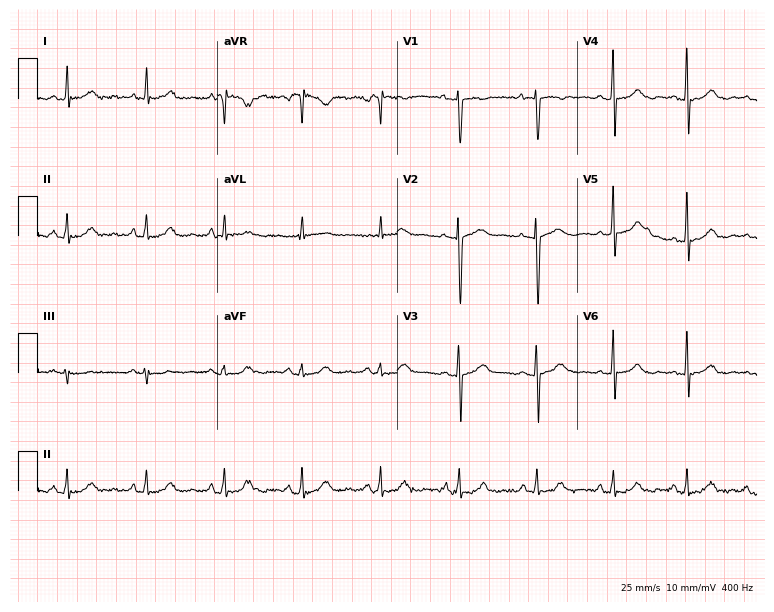
12-lead ECG from a female, 55 years old. Screened for six findings — first-degree AV block, right bundle branch block, left bundle branch block, sinus bradycardia, atrial fibrillation, sinus tachycardia — none is recorded.